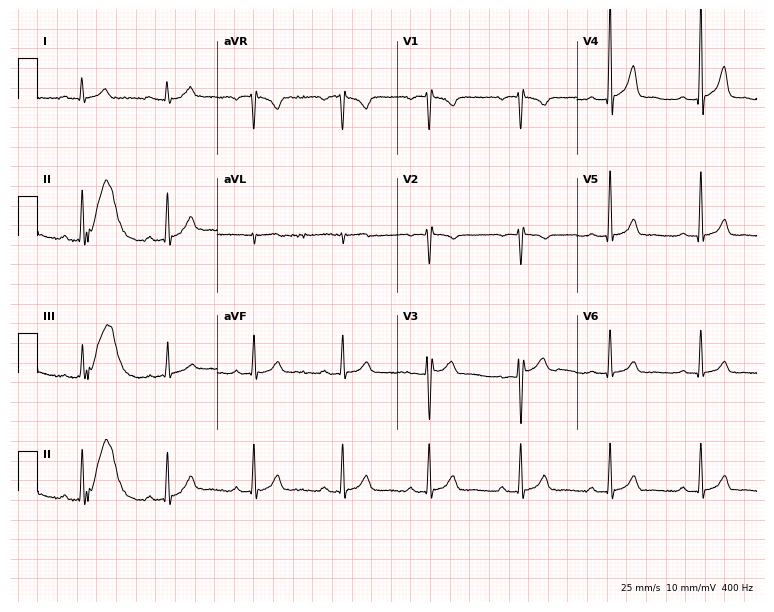
12-lead ECG (7.3-second recording at 400 Hz) from a man, 45 years old. Screened for six findings — first-degree AV block, right bundle branch block, left bundle branch block, sinus bradycardia, atrial fibrillation, sinus tachycardia — none is recorded. Other findings, if any, are not listed.